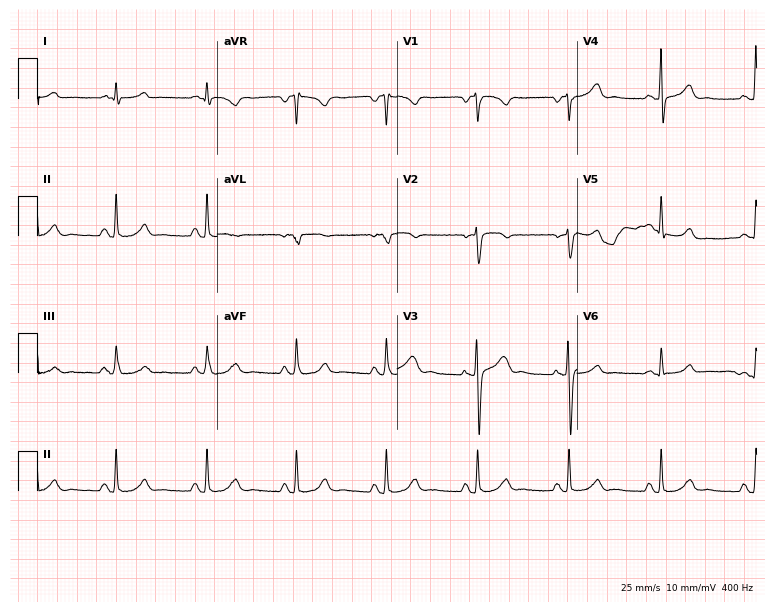
ECG (7.3-second recording at 400 Hz) — a woman, 42 years old. Screened for six findings — first-degree AV block, right bundle branch block, left bundle branch block, sinus bradycardia, atrial fibrillation, sinus tachycardia — none is recorded. Findings outside these six are not listed.